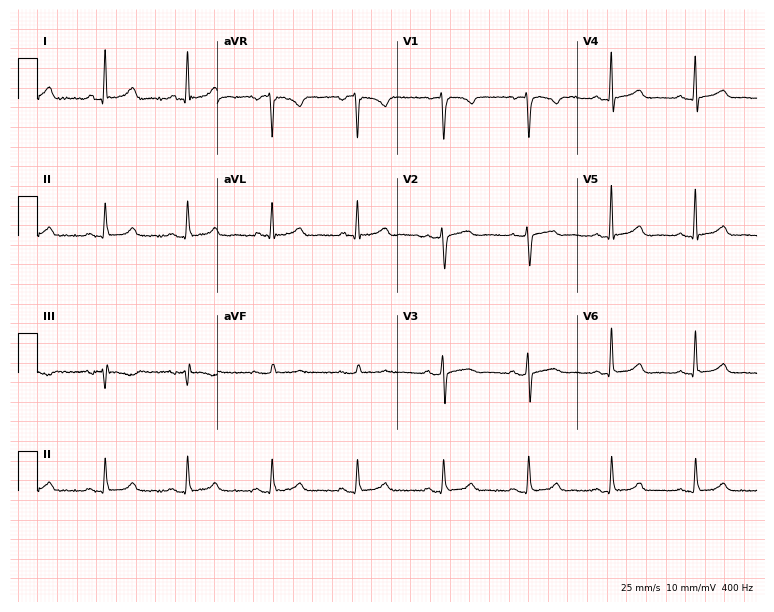
ECG (7.3-second recording at 400 Hz) — a female patient, 52 years old. Screened for six findings — first-degree AV block, right bundle branch block, left bundle branch block, sinus bradycardia, atrial fibrillation, sinus tachycardia — none is recorded.